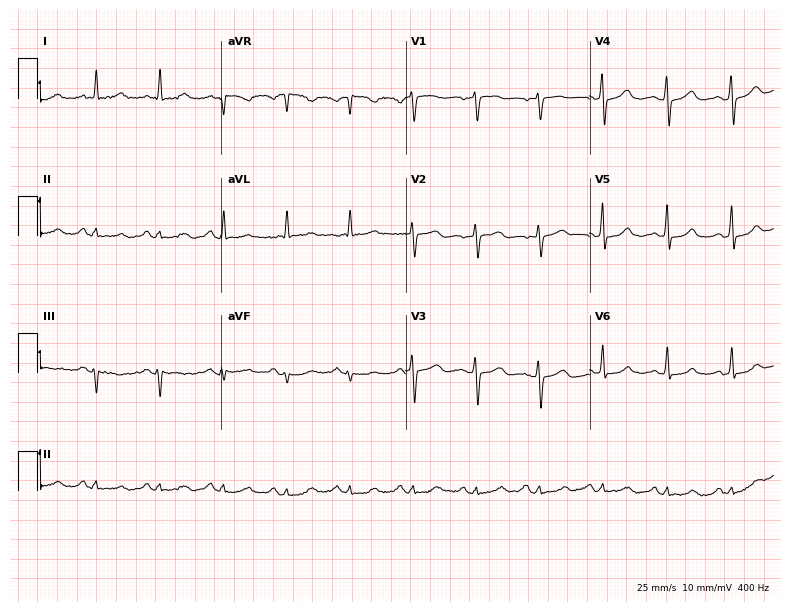
12-lead ECG from a female patient, 90 years old or older. Labelled as a normal ECG.